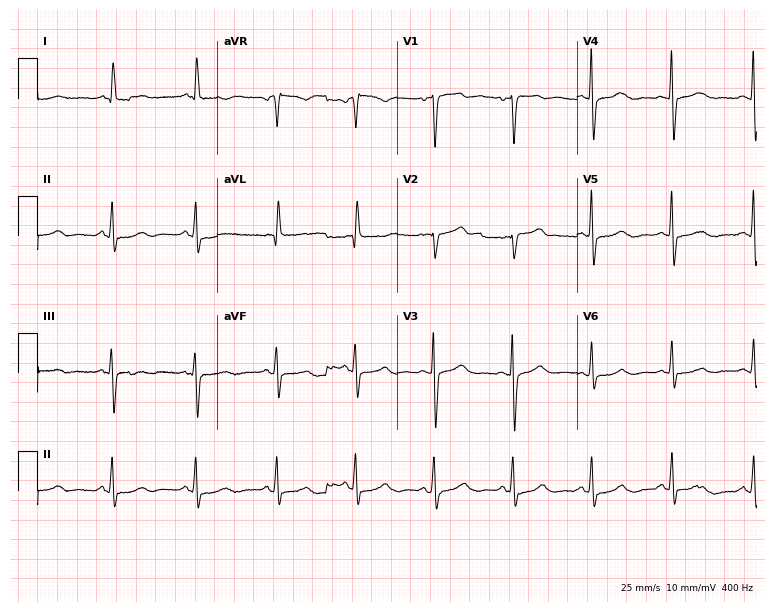
12-lead ECG (7.3-second recording at 400 Hz) from a female patient, 68 years old. Screened for six findings — first-degree AV block, right bundle branch block, left bundle branch block, sinus bradycardia, atrial fibrillation, sinus tachycardia — none is recorded. Findings outside these six are not listed.